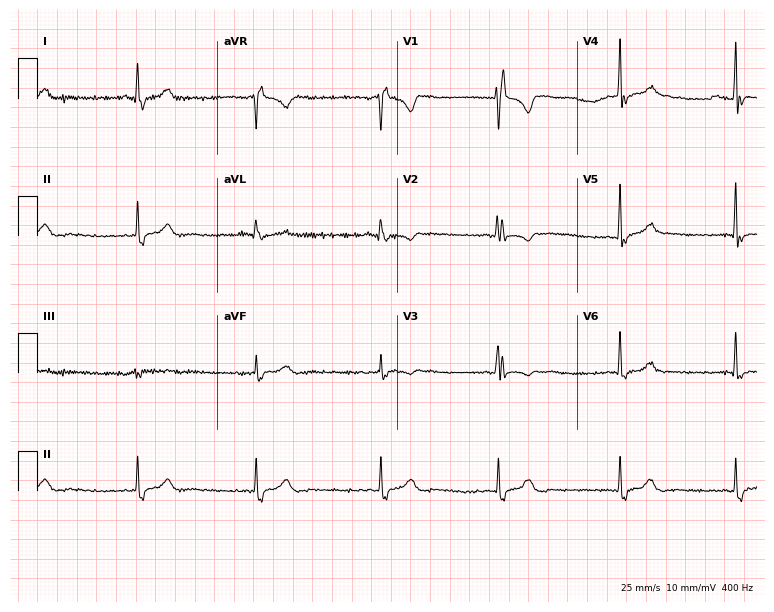
Standard 12-lead ECG recorded from a 23-year-old female patient (7.3-second recording at 400 Hz). The tracing shows right bundle branch block (RBBB).